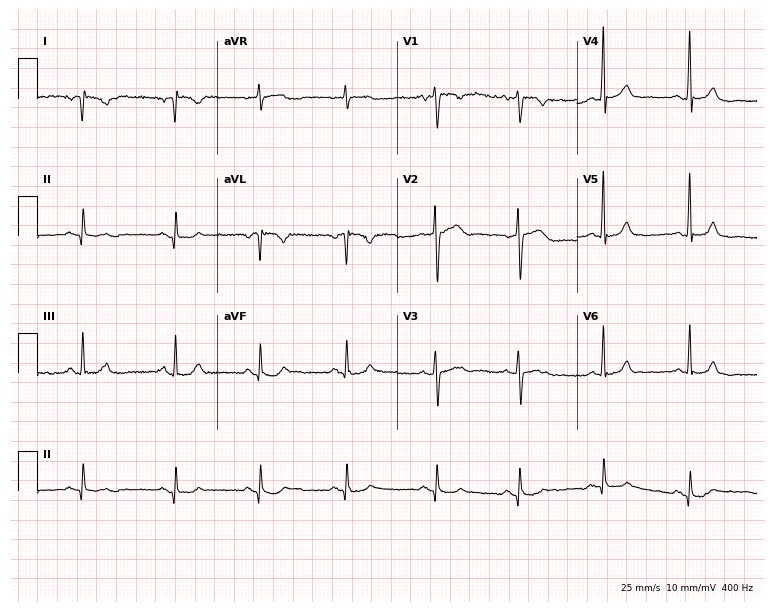
Standard 12-lead ECG recorded from a woman, 40 years old. None of these six findings is recorded: first-degree AV block, right bundle branch block, left bundle branch block, sinus bradycardia, atrial fibrillation, sinus tachycardia.